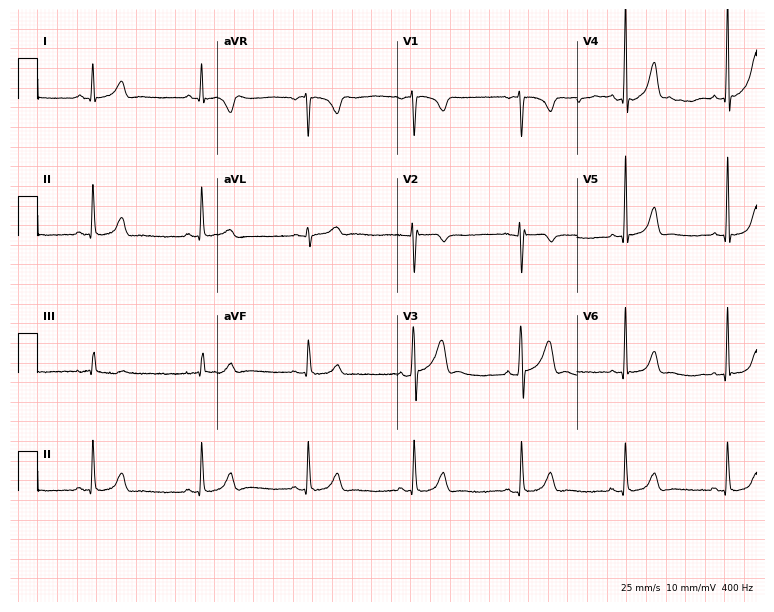
Resting 12-lead electrocardiogram. Patient: a male, 24 years old. None of these six findings is recorded: first-degree AV block, right bundle branch block, left bundle branch block, sinus bradycardia, atrial fibrillation, sinus tachycardia.